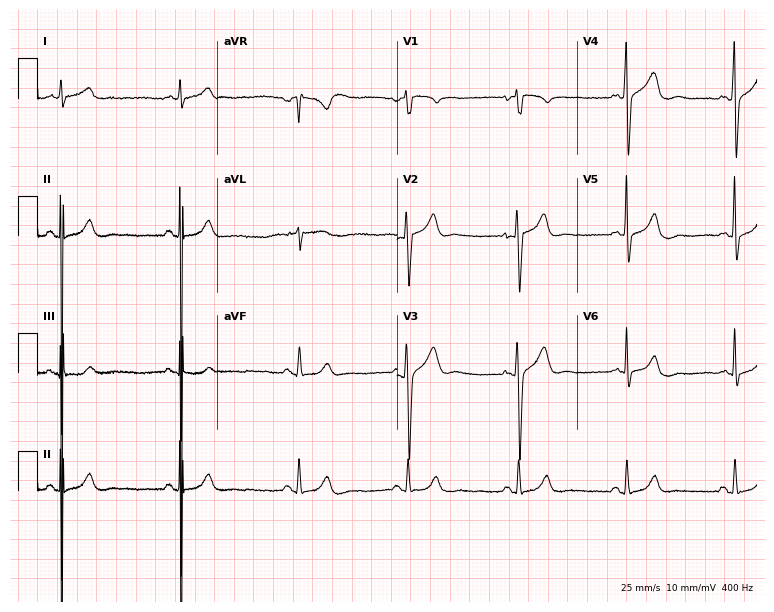
Resting 12-lead electrocardiogram. Patient: a 33-year-old male. None of these six findings is recorded: first-degree AV block, right bundle branch block, left bundle branch block, sinus bradycardia, atrial fibrillation, sinus tachycardia.